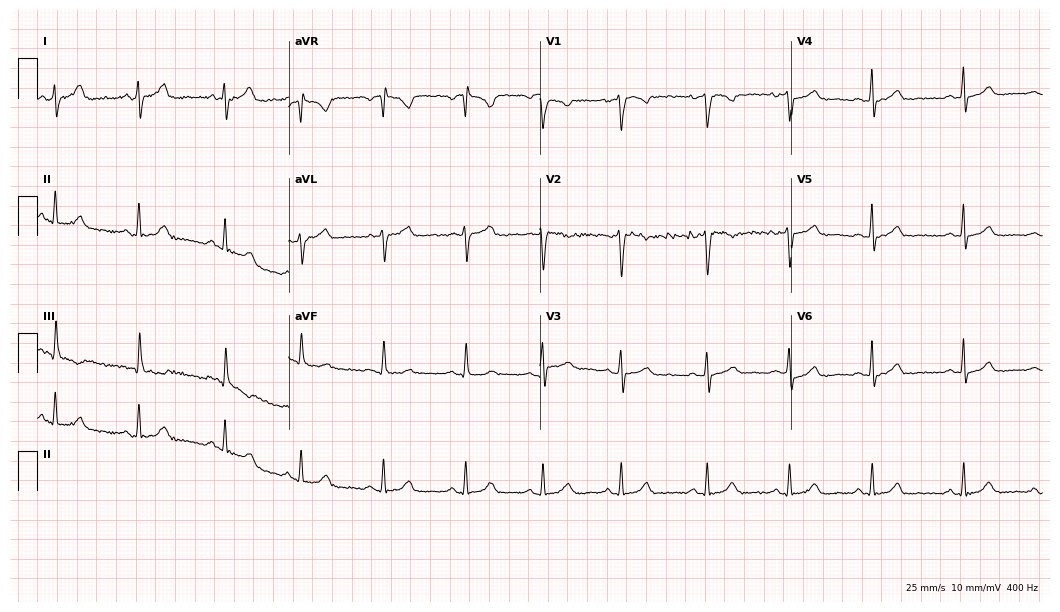
Standard 12-lead ECG recorded from a 21-year-old female. None of these six findings is recorded: first-degree AV block, right bundle branch block, left bundle branch block, sinus bradycardia, atrial fibrillation, sinus tachycardia. Only these six findings were labelled.